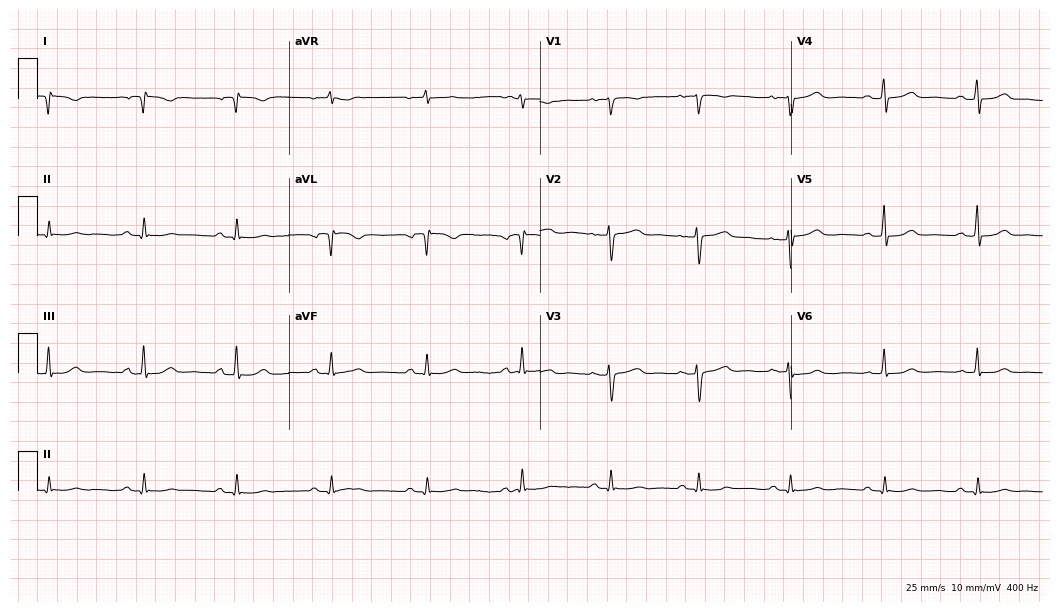
Electrocardiogram, a female, 50 years old. Of the six screened findings (first-degree AV block, right bundle branch block, left bundle branch block, sinus bradycardia, atrial fibrillation, sinus tachycardia), none is recorded. Findings outside these six are not listed.